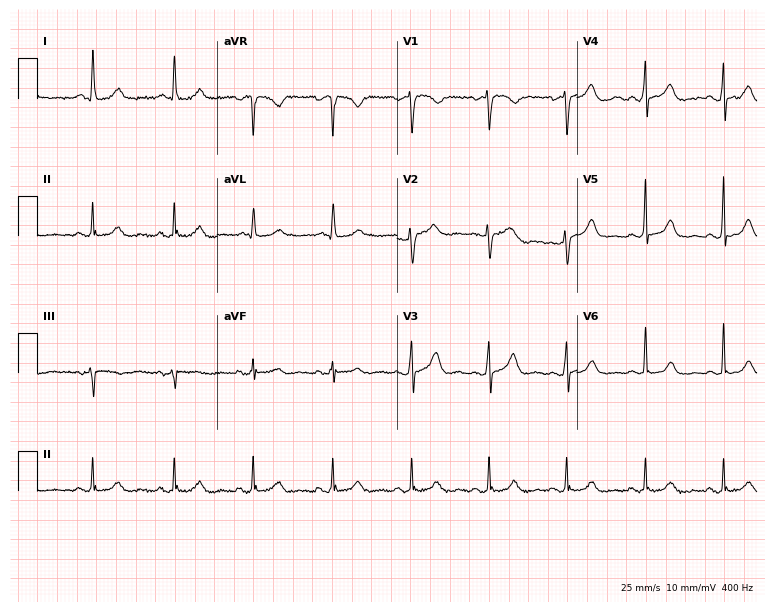
Resting 12-lead electrocardiogram. Patient: a female, 75 years old. None of these six findings is recorded: first-degree AV block, right bundle branch block, left bundle branch block, sinus bradycardia, atrial fibrillation, sinus tachycardia. Findings outside these six are not listed.